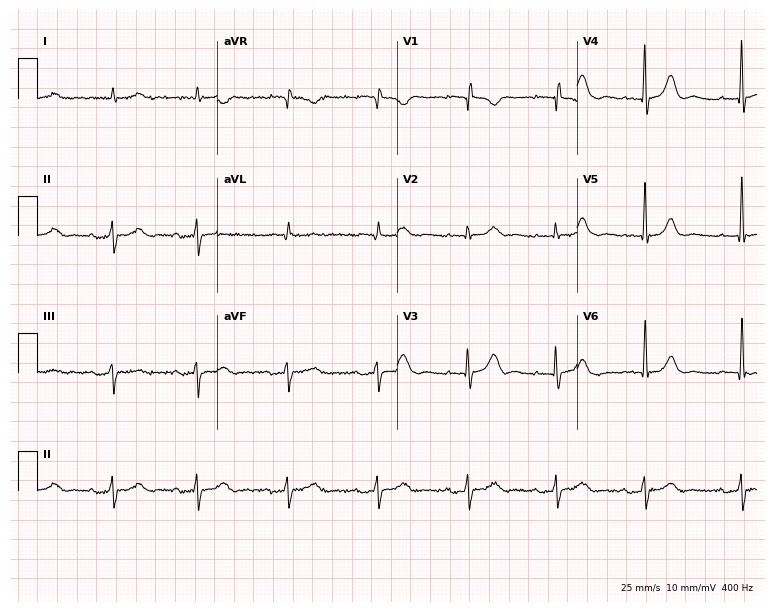
ECG — a male patient, 82 years old. Findings include first-degree AV block.